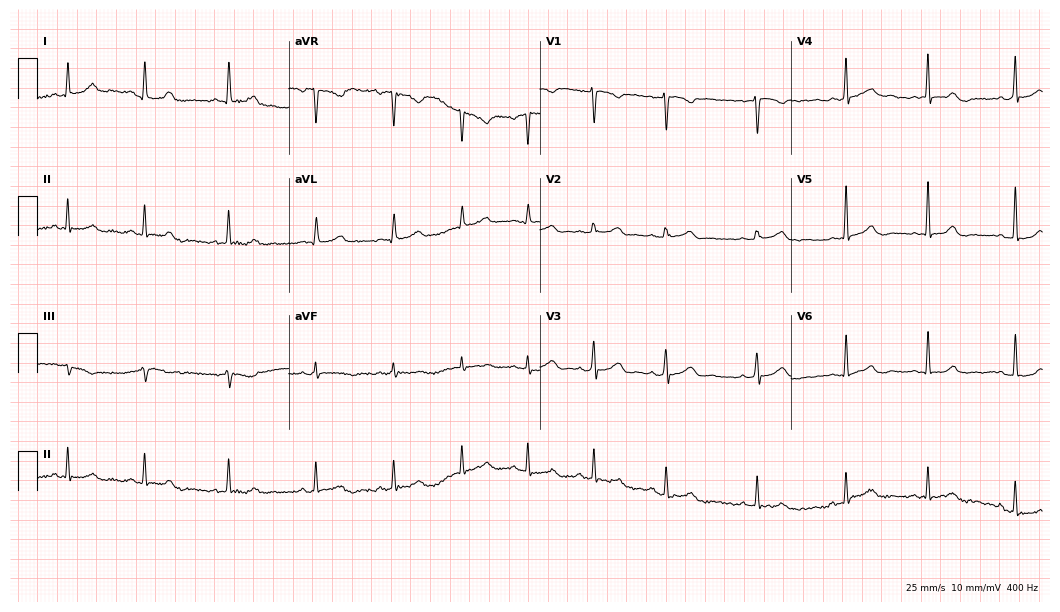
12-lead ECG from a female patient, 24 years old (10.2-second recording at 400 Hz). Recorded interpretation: within normal limits.